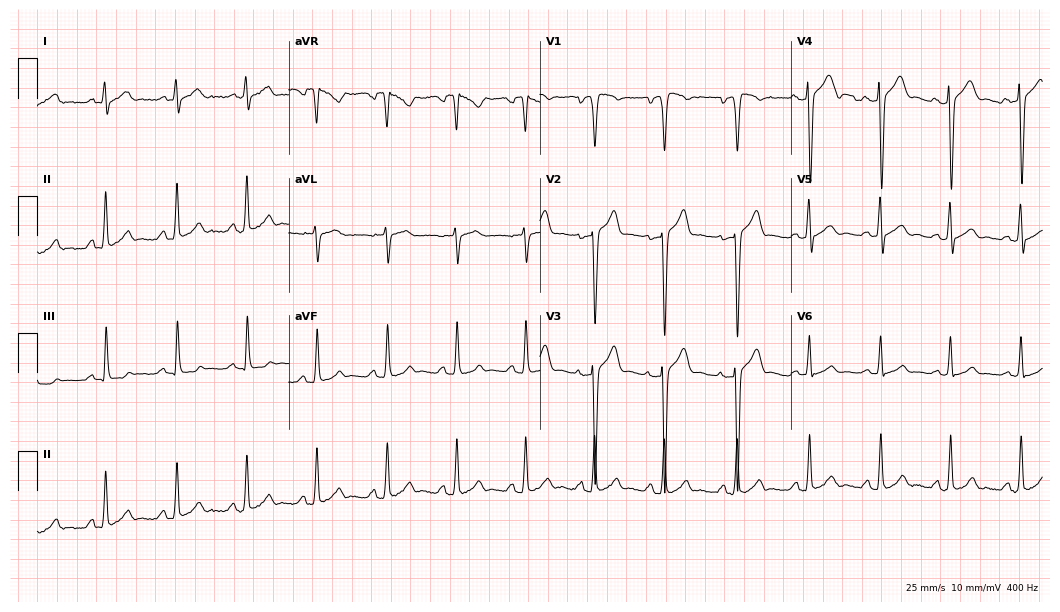
12-lead ECG from a man, 23 years old. Screened for six findings — first-degree AV block, right bundle branch block (RBBB), left bundle branch block (LBBB), sinus bradycardia, atrial fibrillation (AF), sinus tachycardia — none is recorded.